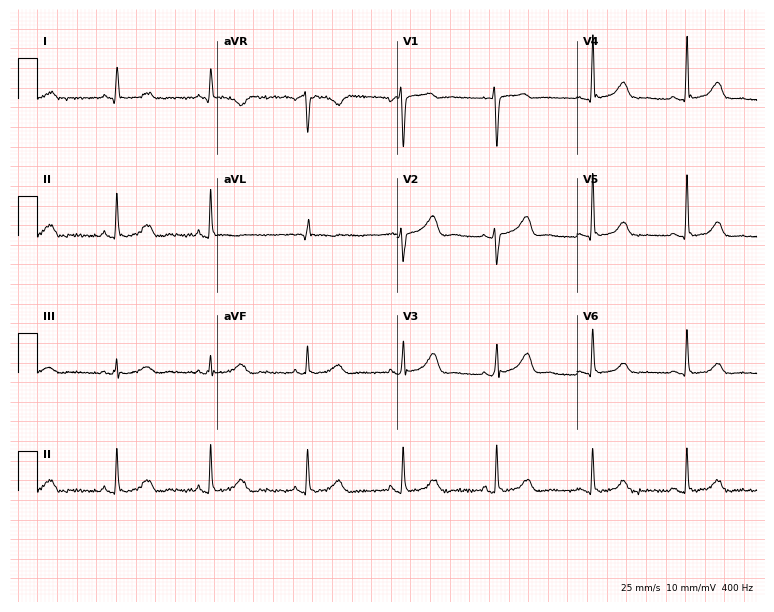
Resting 12-lead electrocardiogram (7.3-second recording at 400 Hz). Patient: a 47-year-old woman. Read as a normal ECG.